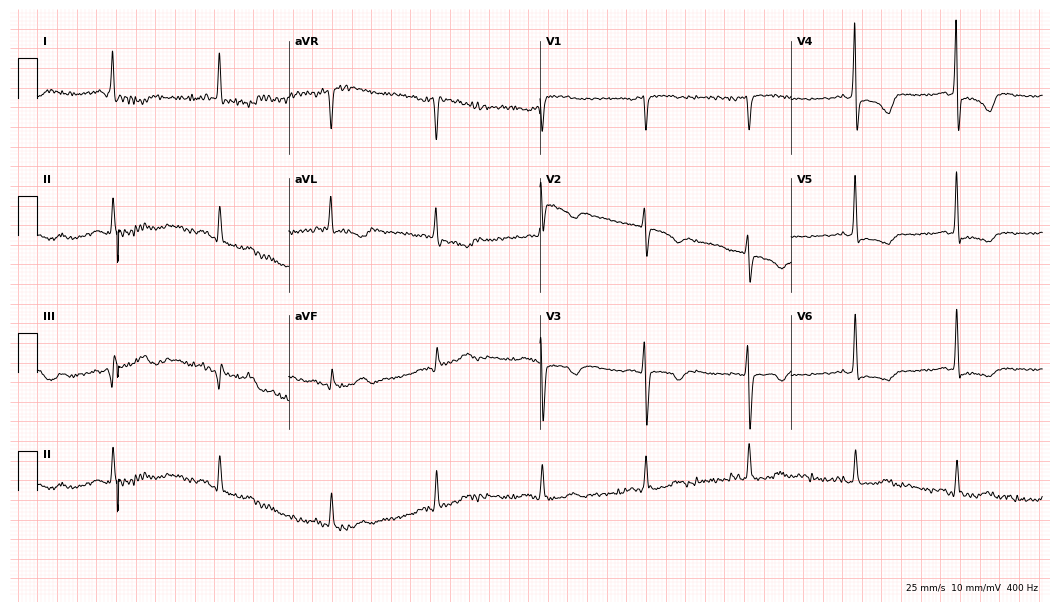
12-lead ECG from a 69-year-old female. Screened for six findings — first-degree AV block, right bundle branch block (RBBB), left bundle branch block (LBBB), sinus bradycardia, atrial fibrillation (AF), sinus tachycardia — none is recorded. Findings outside these six are not listed.